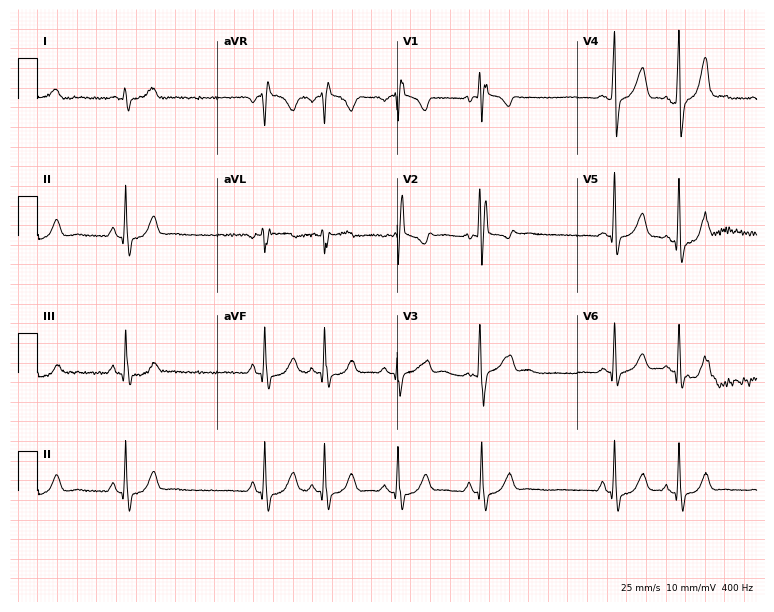
ECG — a 20-year-old male. Screened for six findings — first-degree AV block, right bundle branch block, left bundle branch block, sinus bradycardia, atrial fibrillation, sinus tachycardia — none is recorded. Only these six findings were labelled.